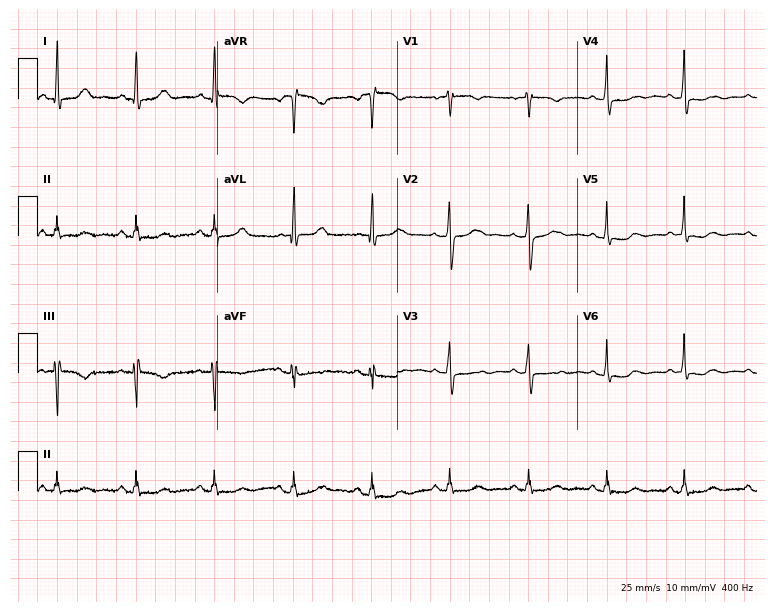
12-lead ECG (7.3-second recording at 400 Hz) from a female patient, 63 years old. Screened for six findings — first-degree AV block, right bundle branch block, left bundle branch block, sinus bradycardia, atrial fibrillation, sinus tachycardia — none is recorded.